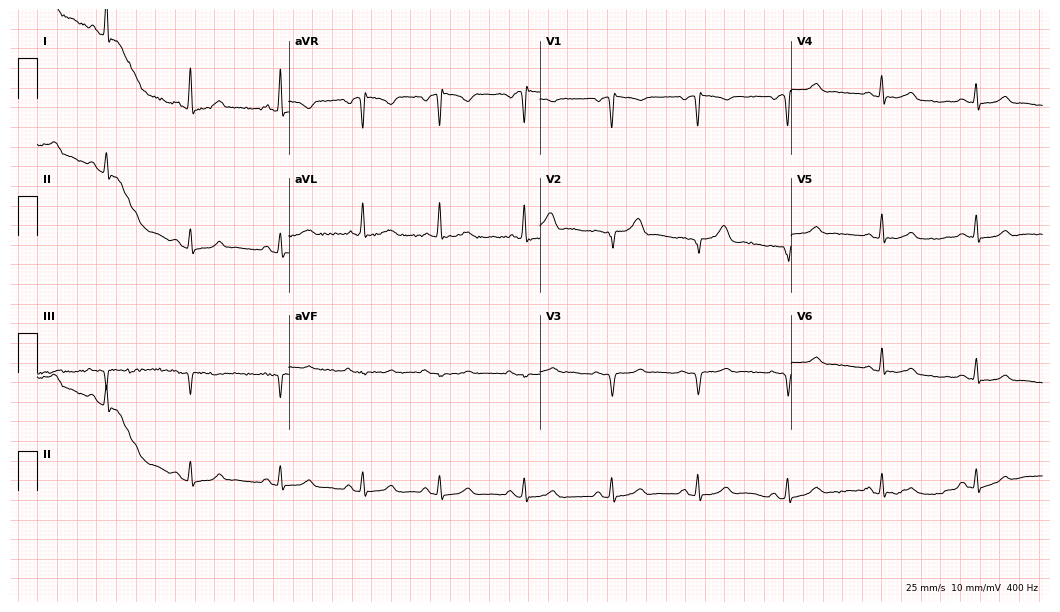
ECG (10.2-second recording at 400 Hz) — a woman, 55 years old. Screened for six findings — first-degree AV block, right bundle branch block, left bundle branch block, sinus bradycardia, atrial fibrillation, sinus tachycardia — none is recorded.